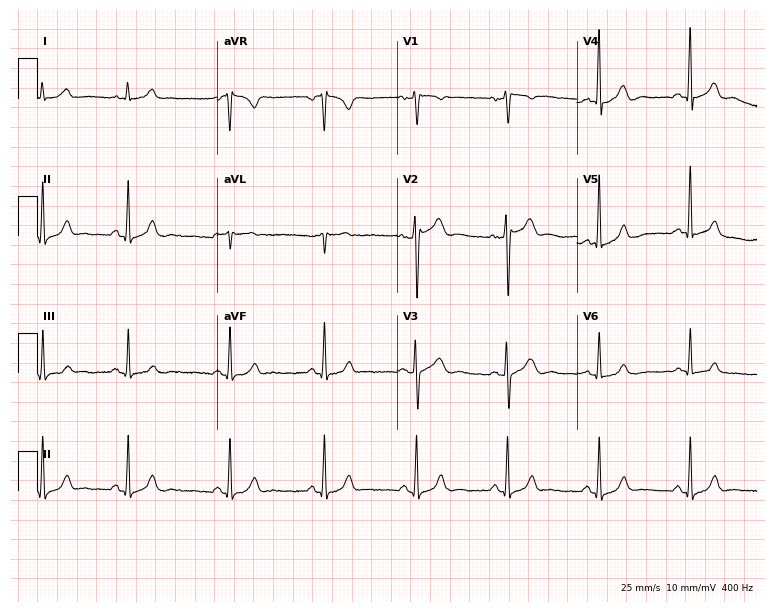
12-lead ECG (7.3-second recording at 400 Hz) from a male, 65 years old. Labelled as a normal ECG.